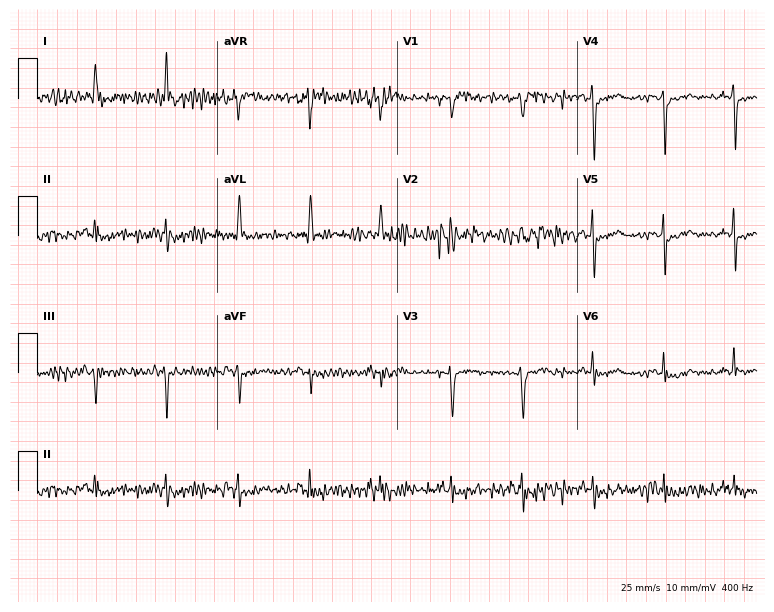
Standard 12-lead ECG recorded from a female, 65 years old. None of these six findings is recorded: first-degree AV block, right bundle branch block, left bundle branch block, sinus bradycardia, atrial fibrillation, sinus tachycardia. Only these six findings were labelled.